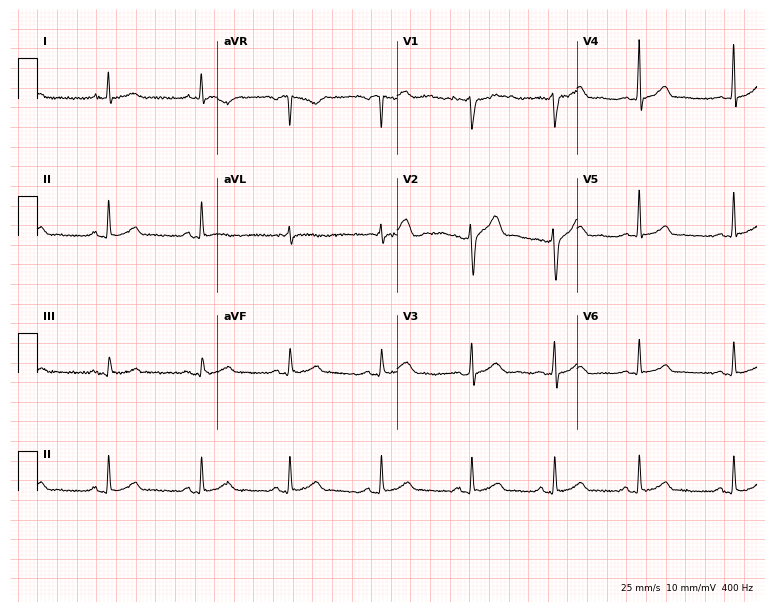
Standard 12-lead ECG recorded from a 22-year-old male patient (7.3-second recording at 400 Hz). Read as a normal ECG.